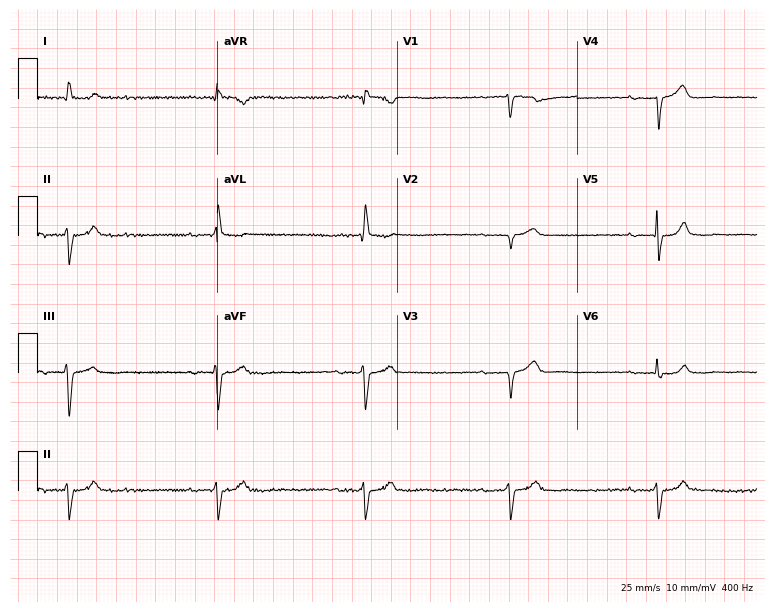
12-lead ECG (7.3-second recording at 400 Hz) from a 79-year-old woman. Findings include first-degree AV block, sinus bradycardia (a sinus rate of 50 beats per minute or less).